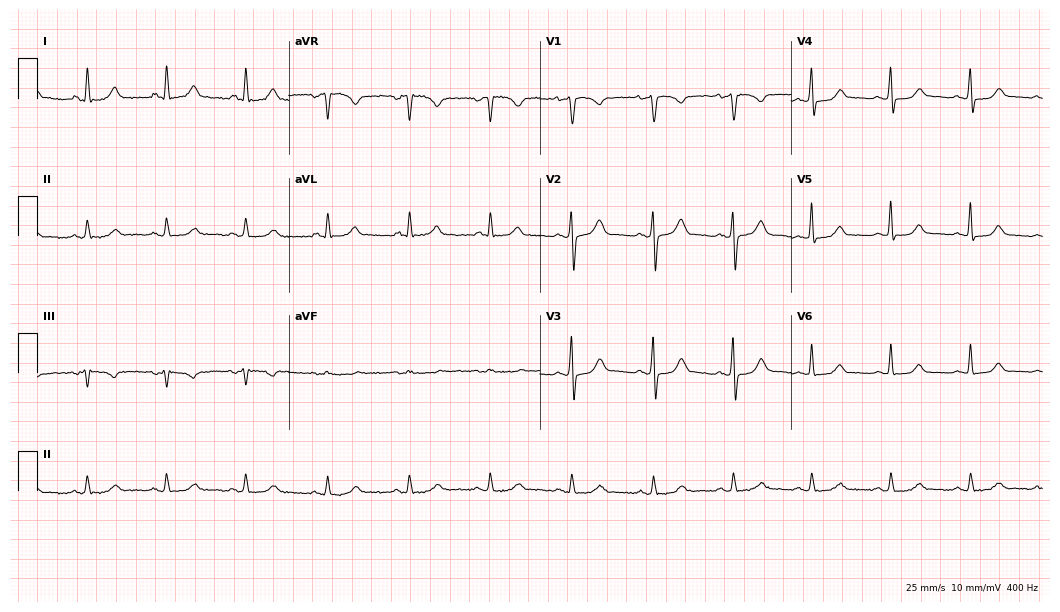
Standard 12-lead ECG recorded from a female, 50 years old (10.2-second recording at 400 Hz). None of these six findings is recorded: first-degree AV block, right bundle branch block (RBBB), left bundle branch block (LBBB), sinus bradycardia, atrial fibrillation (AF), sinus tachycardia.